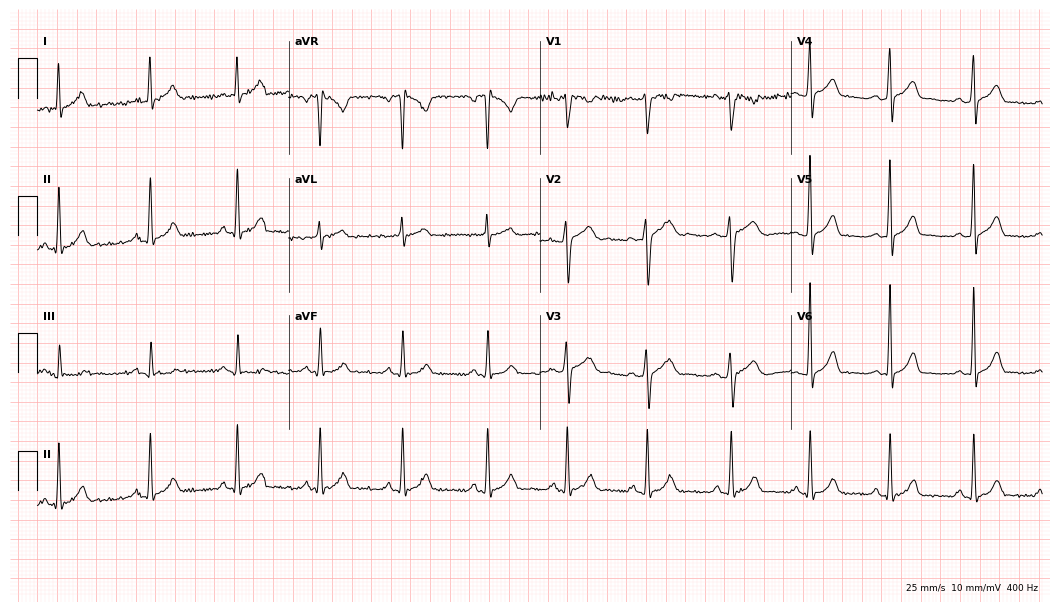
Electrocardiogram (10.2-second recording at 400 Hz), a 30-year-old male patient. Overall reading on record: normal ECG.